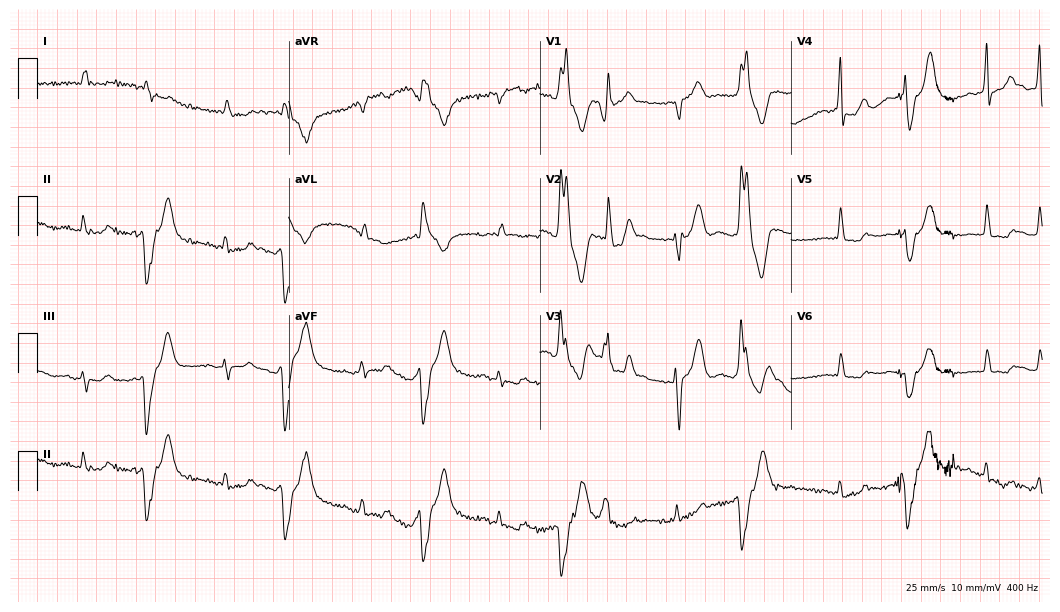
ECG — an 83-year-old male. Screened for six findings — first-degree AV block, right bundle branch block, left bundle branch block, sinus bradycardia, atrial fibrillation, sinus tachycardia — none is recorded.